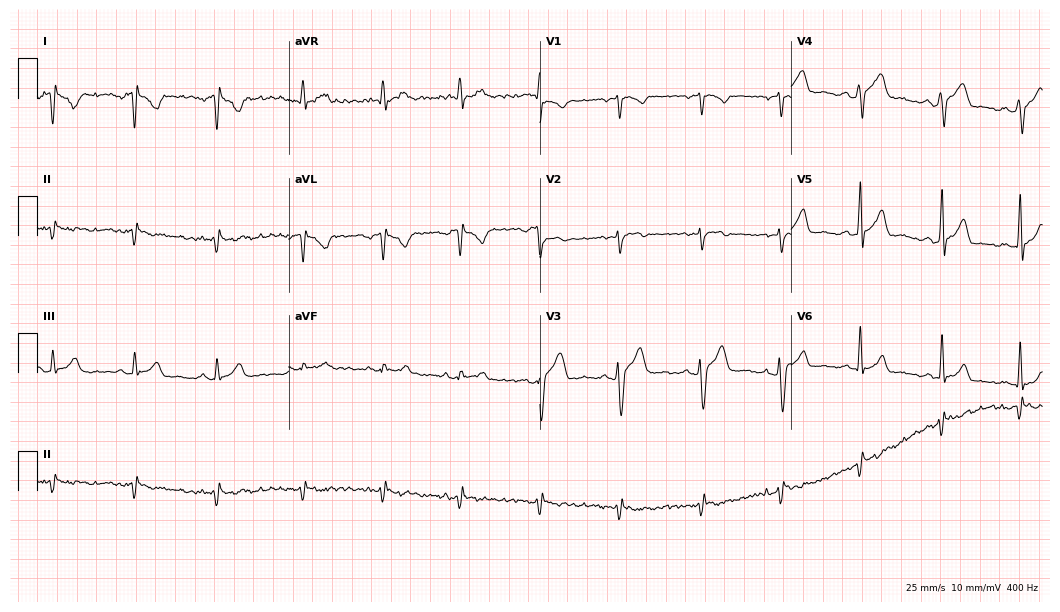
Standard 12-lead ECG recorded from a male patient, 26 years old (10.2-second recording at 400 Hz). None of these six findings is recorded: first-degree AV block, right bundle branch block (RBBB), left bundle branch block (LBBB), sinus bradycardia, atrial fibrillation (AF), sinus tachycardia.